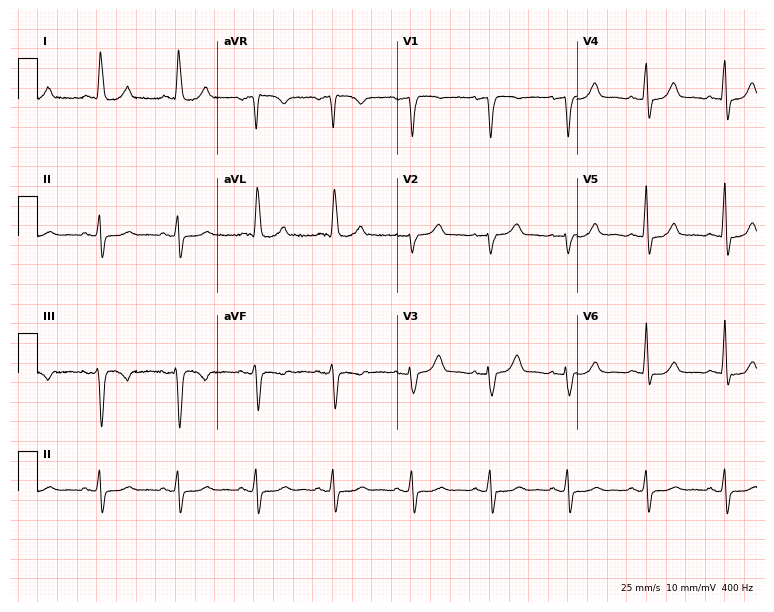
12-lead ECG from a 63-year-old female patient. Recorded interpretation: within normal limits.